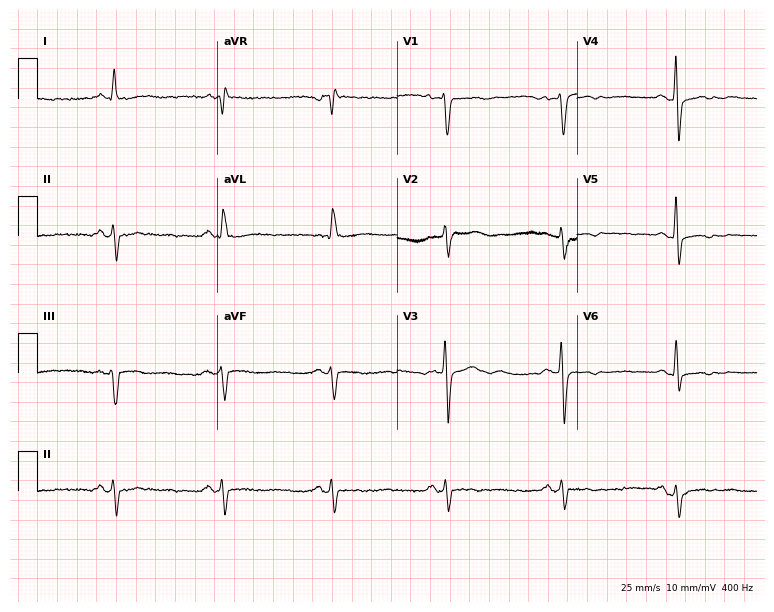
Resting 12-lead electrocardiogram. Patient: a 68-year-old man. None of these six findings is recorded: first-degree AV block, right bundle branch block, left bundle branch block, sinus bradycardia, atrial fibrillation, sinus tachycardia.